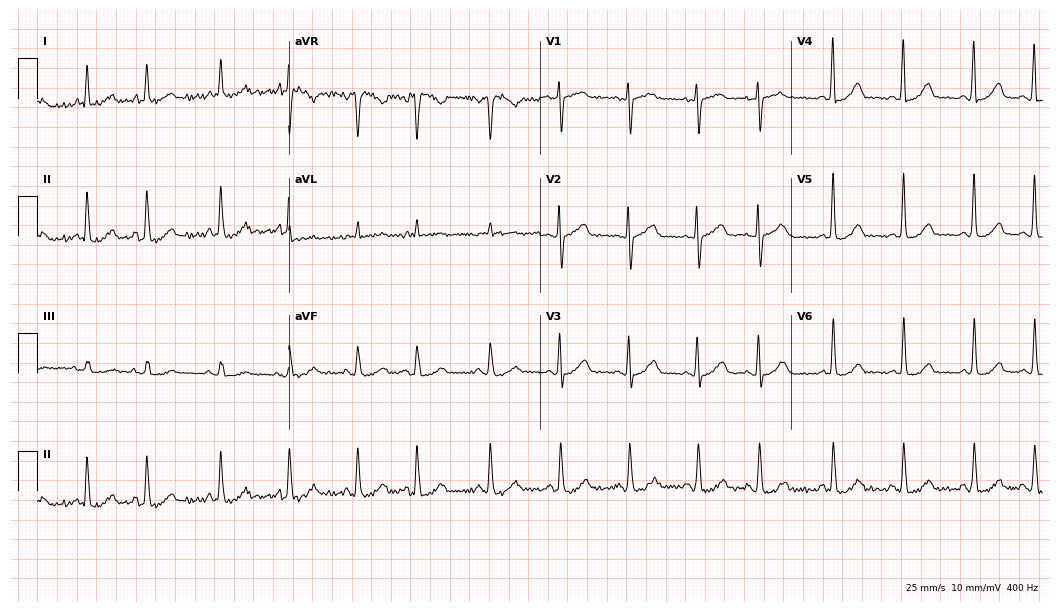
ECG (10.2-second recording at 400 Hz) — an 81-year-old woman. Screened for six findings — first-degree AV block, right bundle branch block, left bundle branch block, sinus bradycardia, atrial fibrillation, sinus tachycardia — none is recorded. Other findings, if any, are not listed.